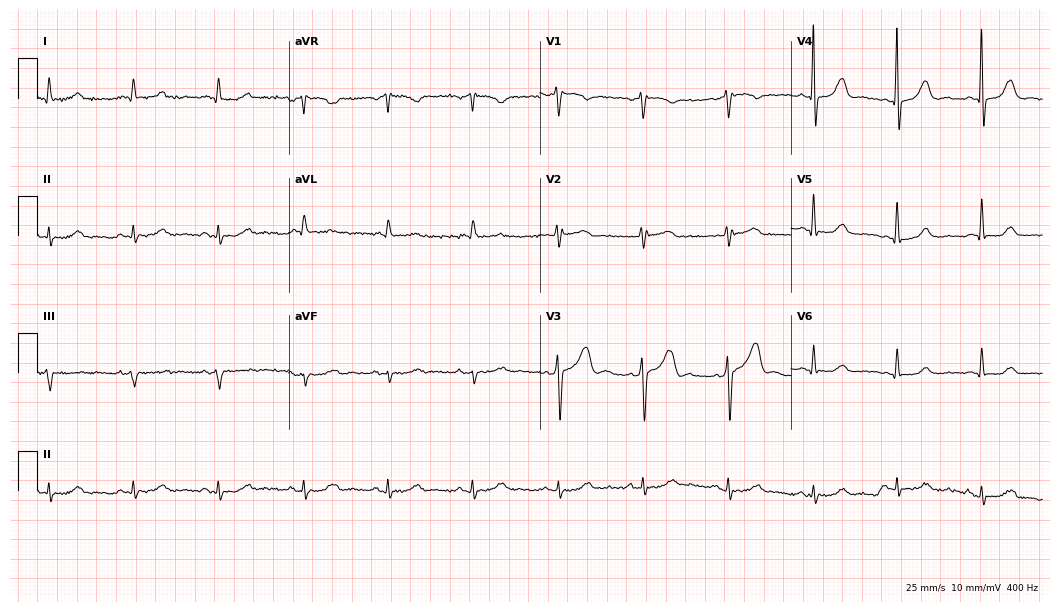
Resting 12-lead electrocardiogram (10.2-second recording at 400 Hz). Patient: a 54-year-old female. None of these six findings is recorded: first-degree AV block, right bundle branch block, left bundle branch block, sinus bradycardia, atrial fibrillation, sinus tachycardia.